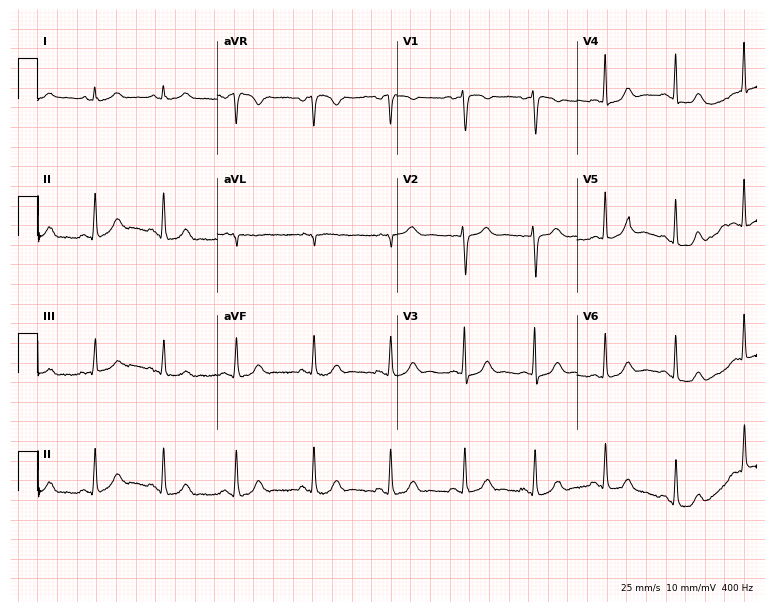
Resting 12-lead electrocardiogram (7.3-second recording at 400 Hz). Patient: a 35-year-old woman. None of these six findings is recorded: first-degree AV block, right bundle branch block, left bundle branch block, sinus bradycardia, atrial fibrillation, sinus tachycardia.